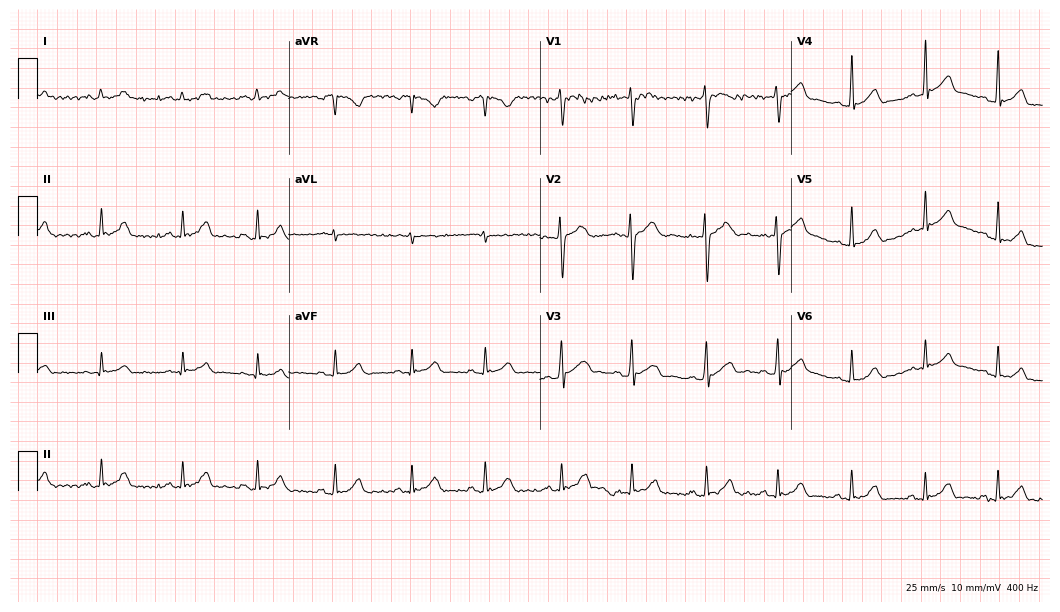
Electrocardiogram, a female, 29 years old. Of the six screened findings (first-degree AV block, right bundle branch block (RBBB), left bundle branch block (LBBB), sinus bradycardia, atrial fibrillation (AF), sinus tachycardia), none is recorded.